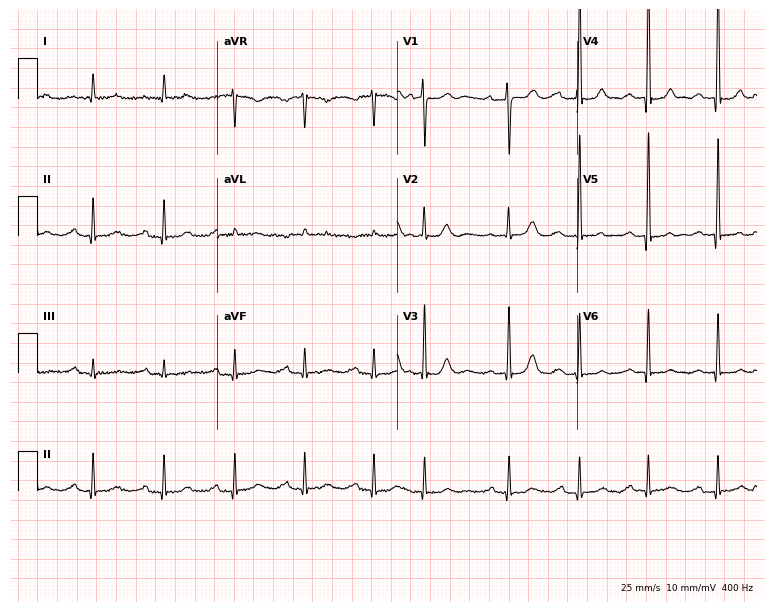
ECG — an 83-year-old female patient. Labelled as a normal ECG.